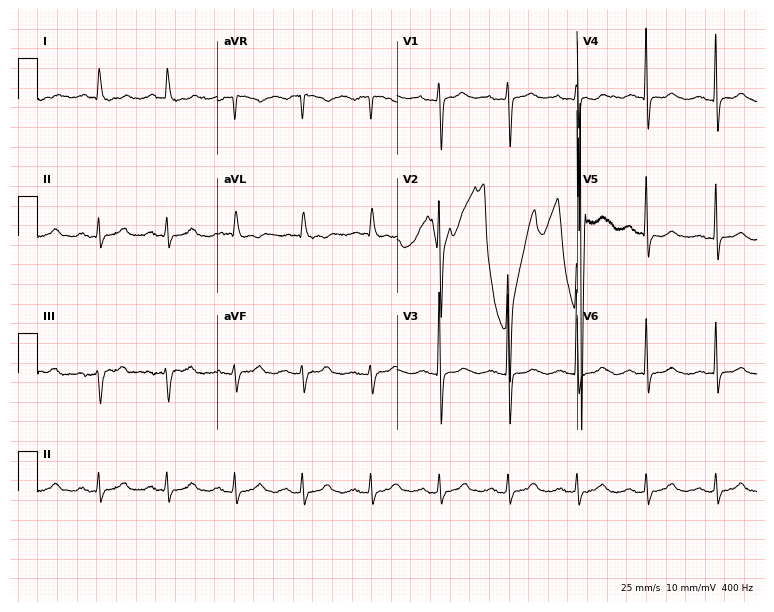
ECG (7.3-second recording at 400 Hz) — a female patient, 82 years old. Labelled as a normal ECG.